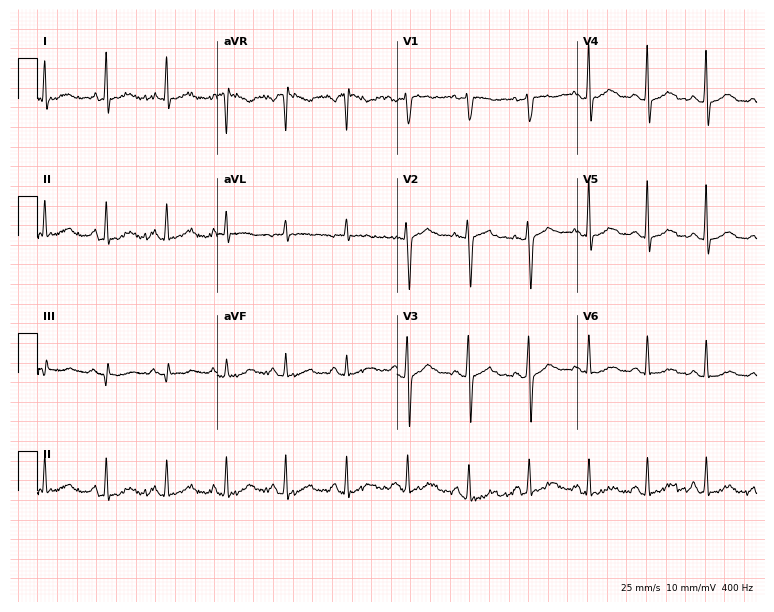
Electrocardiogram, a female, 51 years old. Overall reading on record: normal ECG.